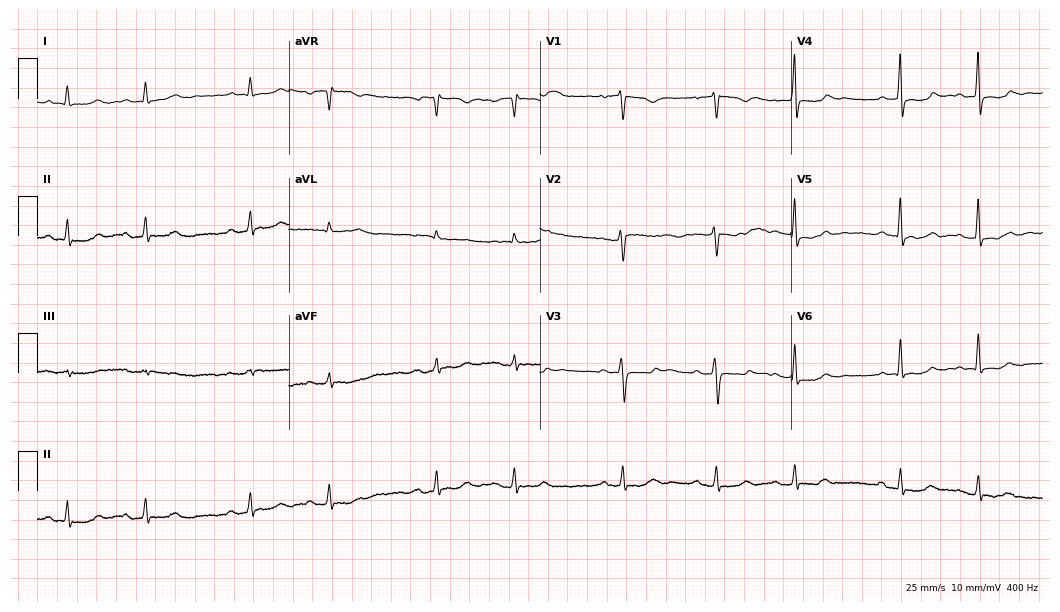
12-lead ECG (10.2-second recording at 400 Hz) from a woman, 48 years old. Screened for six findings — first-degree AV block, right bundle branch block (RBBB), left bundle branch block (LBBB), sinus bradycardia, atrial fibrillation (AF), sinus tachycardia — none is recorded. Findings outside these six are not listed.